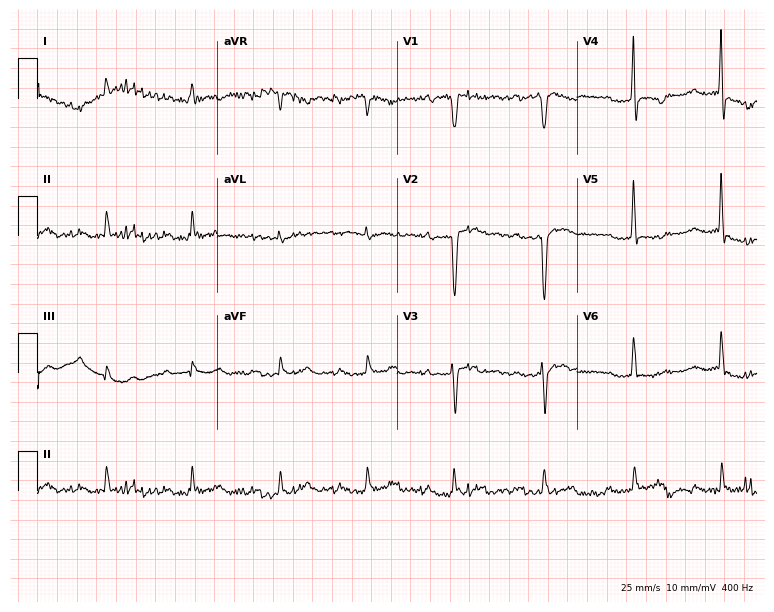
Electrocardiogram, a man, 58 years old. Of the six screened findings (first-degree AV block, right bundle branch block, left bundle branch block, sinus bradycardia, atrial fibrillation, sinus tachycardia), none is recorded.